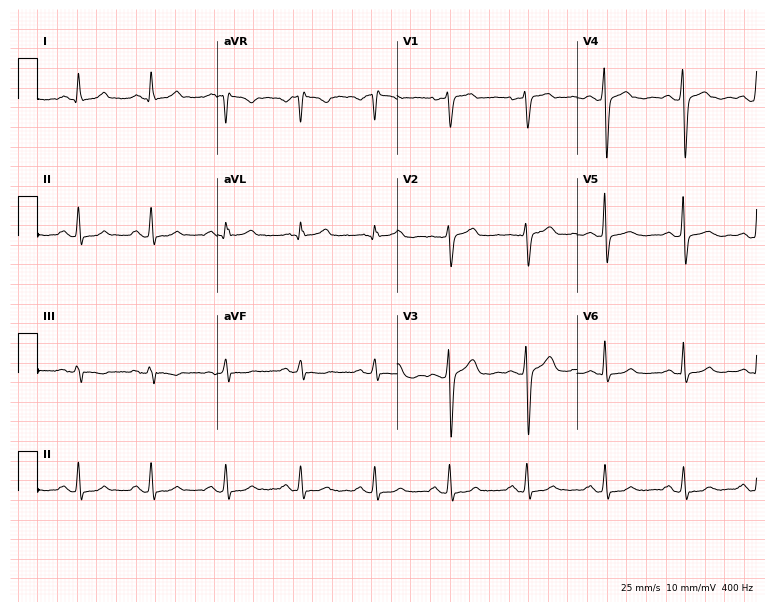
12-lead ECG from a 50-year-old female patient. Screened for six findings — first-degree AV block, right bundle branch block, left bundle branch block, sinus bradycardia, atrial fibrillation, sinus tachycardia — none is recorded. Findings outside these six are not listed.